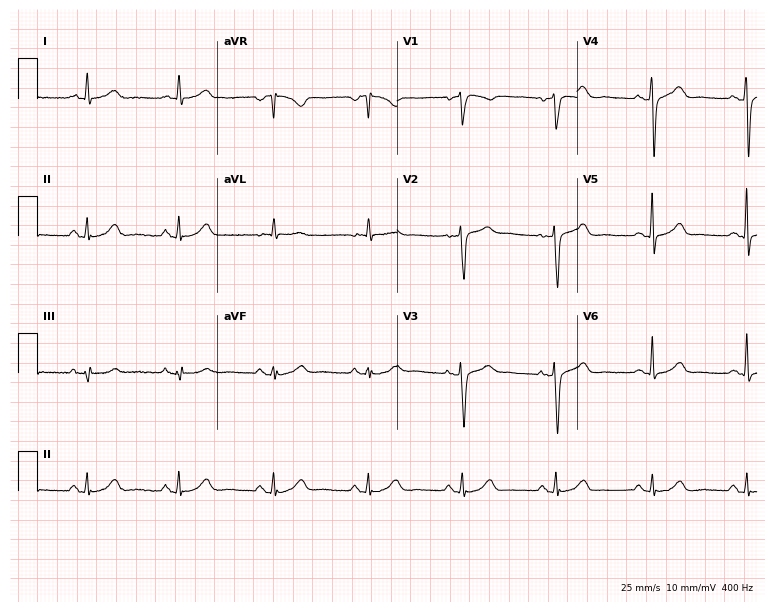
Standard 12-lead ECG recorded from a woman, 73 years old (7.3-second recording at 400 Hz). Read as a normal ECG.